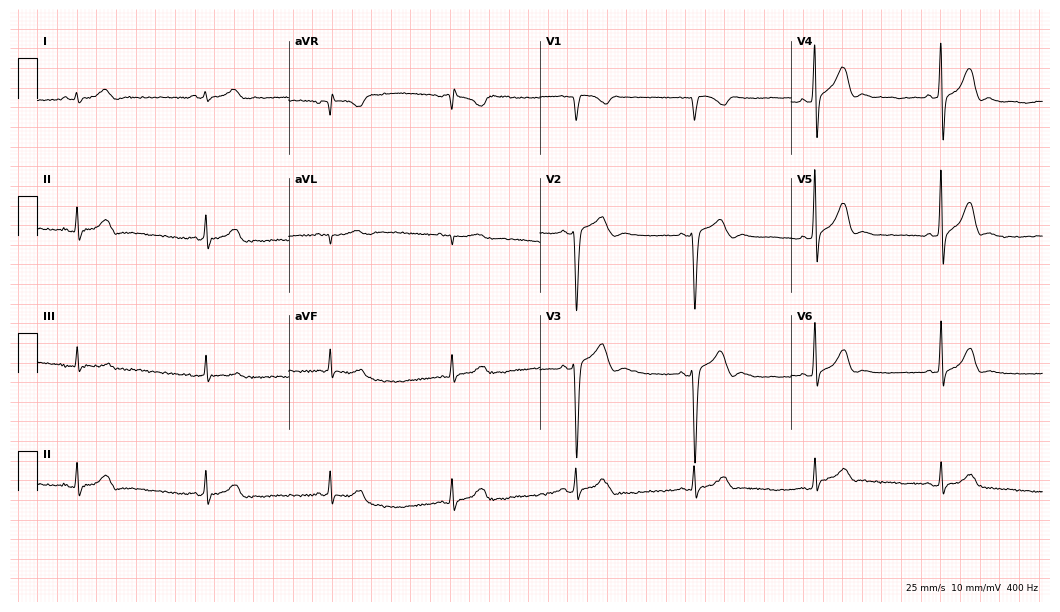
Electrocardiogram (10.2-second recording at 400 Hz), a 36-year-old male. Overall reading on record: normal ECG.